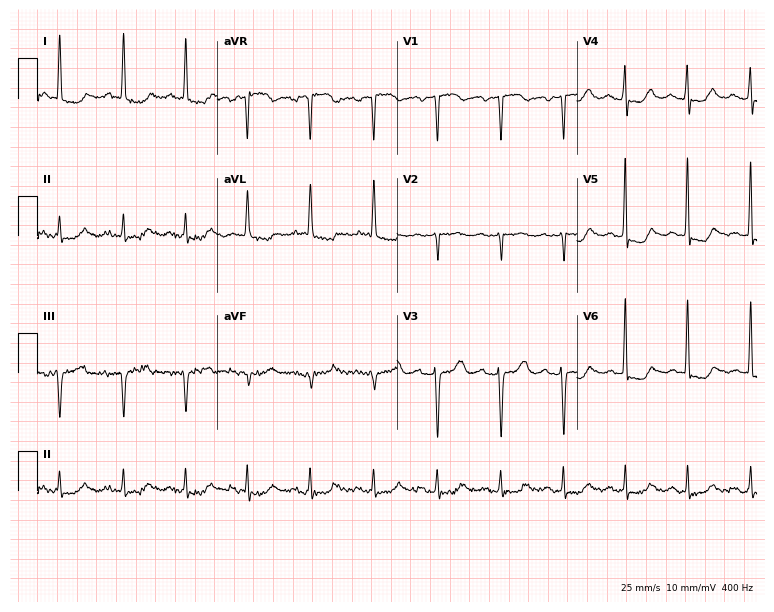
ECG — a 75-year-old woman. Screened for six findings — first-degree AV block, right bundle branch block (RBBB), left bundle branch block (LBBB), sinus bradycardia, atrial fibrillation (AF), sinus tachycardia — none is recorded. Only these six findings were labelled.